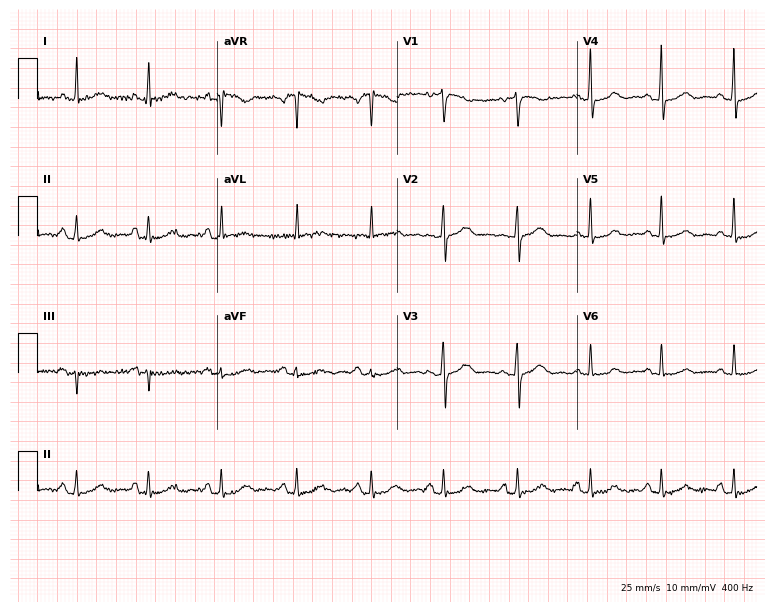
12-lead ECG from a 53-year-old female patient. Screened for six findings — first-degree AV block, right bundle branch block, left bundle branch block, sinus bradycardia, atrial fibrillation, sinus tachycardia — none is recorded.